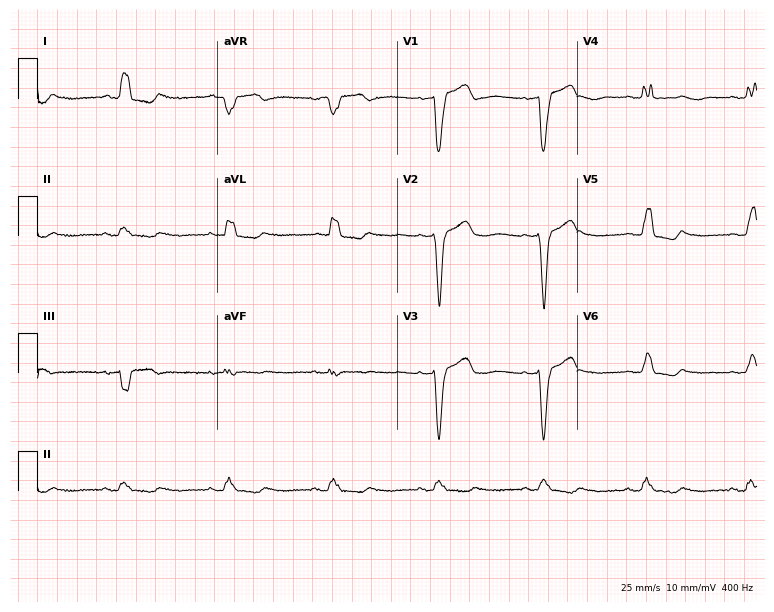
ECG (7.3-second recording at 400 Hz) — a female patient, 82 years old. Screened for six findings — first-degree AV block, right bundle branch block, left bundle branch block, sinus bradycardia, atrial fibrillation, sinus tachycardia — none is recorded.